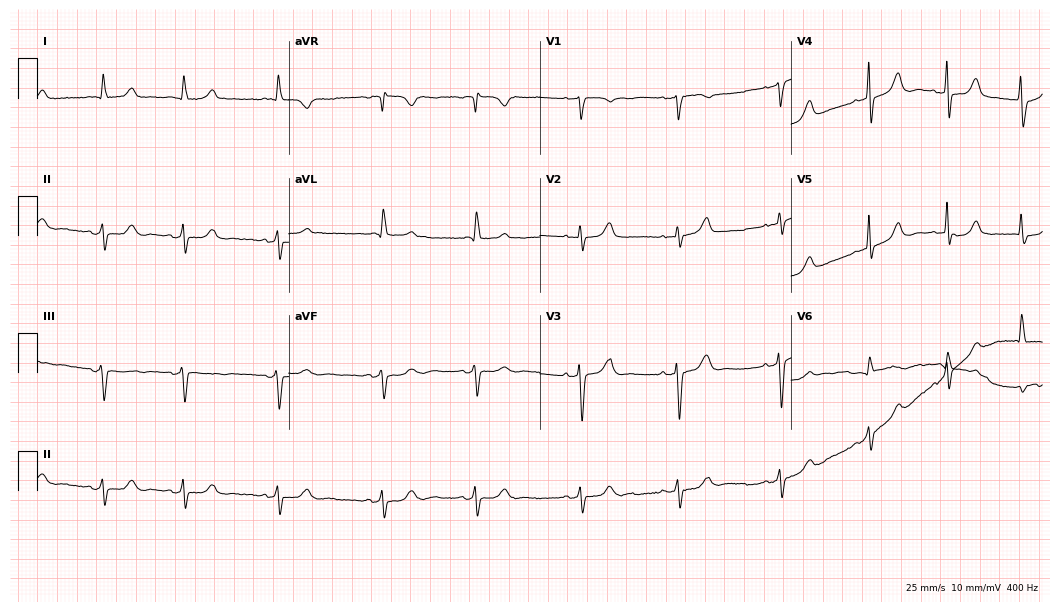
Electrocardiogram (10.2-second recording at 400 Hz), a 74-year-old female. Overall reading on record: normal ECG.